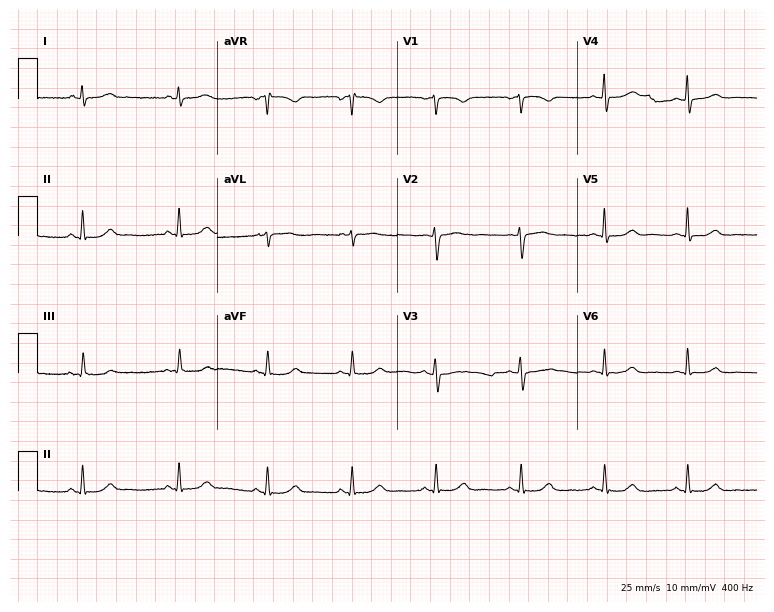
Resting 12-lead electrocardiogram (7.3-second recording at 400 Hz). Patient: a woman, 40 years old. Read as a normal ECG.